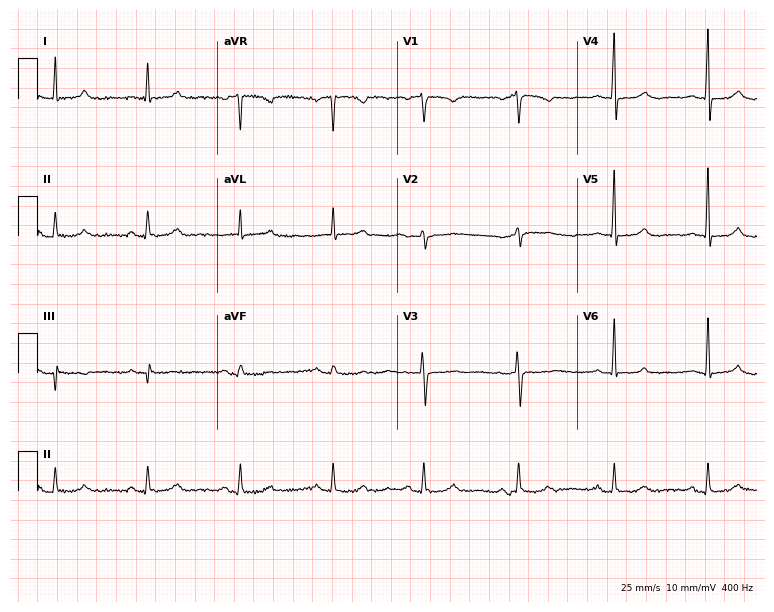
ECG — a woman, 50 years old. Labelled as a normal ECG.